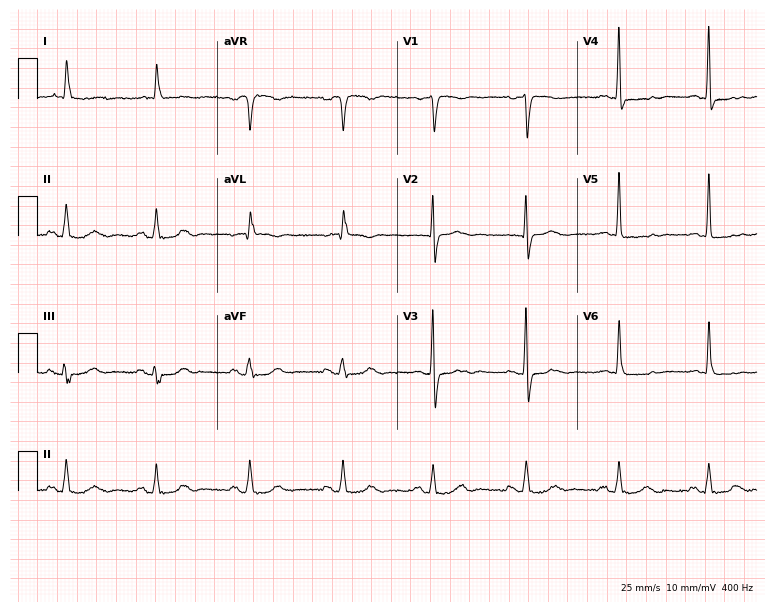
12-lead ECG from a 76-year-old female patient (7.3-second recording at 400 Hz). No first-degree AV block, right bundle branch block, left bundle branch block, sinus bradycardia, atrial fibrillation or sinus tachycardia recorded for this tracing. Findings outside these six are not listed.